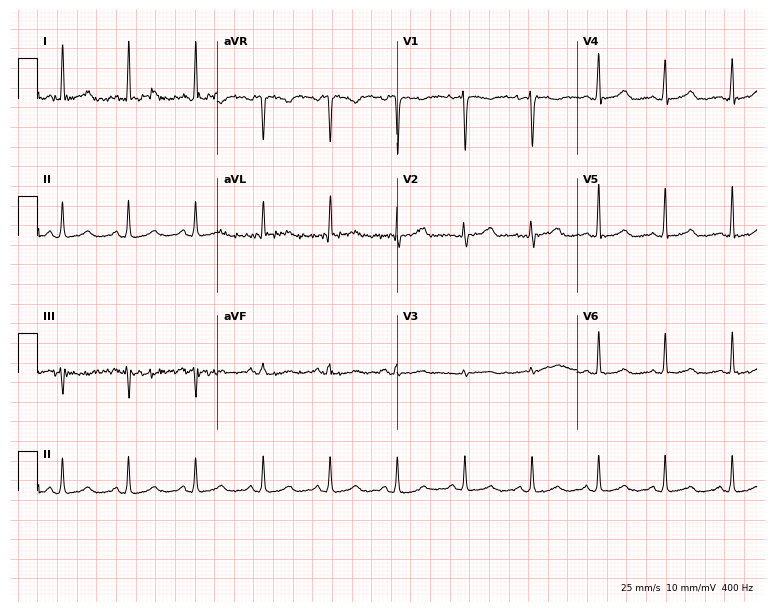
12-lead ECG (7.3-second recording at 400 Hz) from a woman, 55 years old. Labelled as a normal ECG.